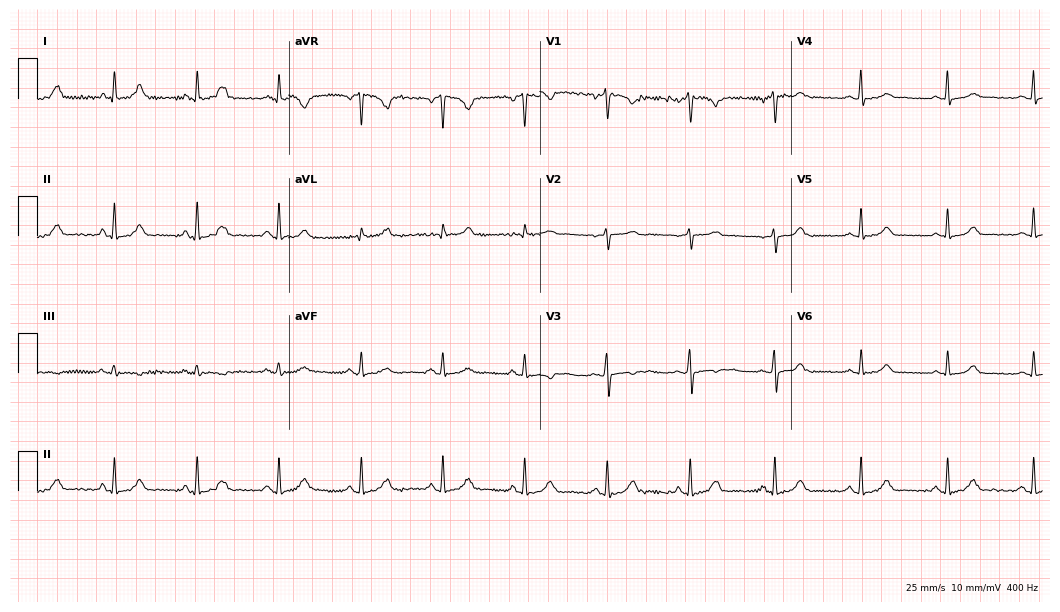
Resting 12-lead electrocardiogram (10.2-second recording at 400 Hz). Patient: a woman, 35 years old. Read as a normal ECG.